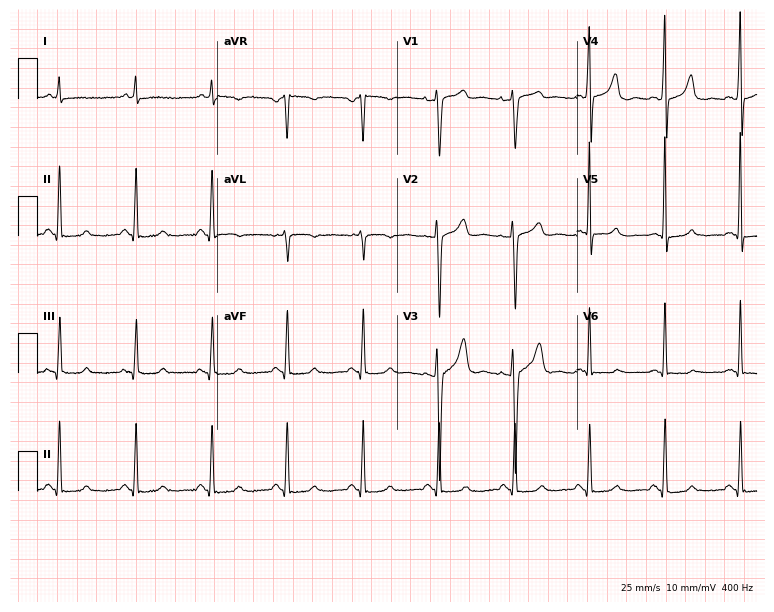
12-lead ECG from a 46-year-old male patient. Recorded interpretation: within normal limits.